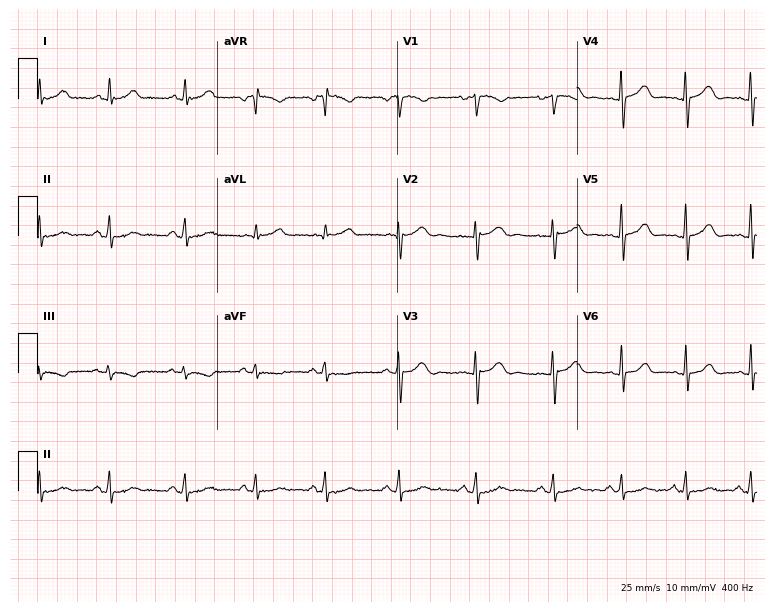
Electrocardiogram, a female, 21 years old. Of the six screened findings (first-degree AV block, right bundle branch block, left bundle branch block, sinus bradycardia, atrial fibrillation, sinus tachycardia), none is recorded.